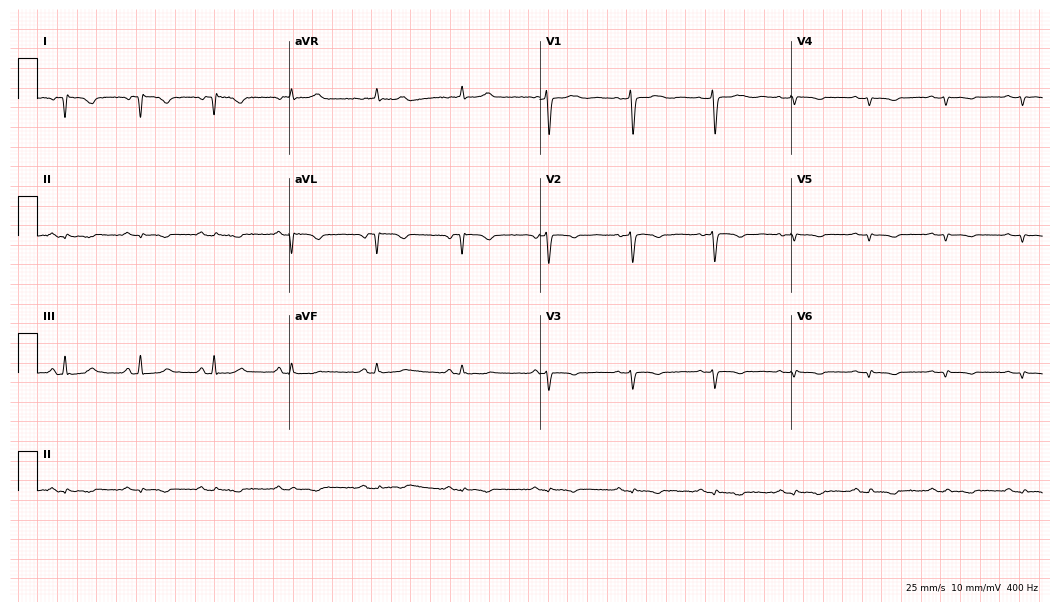
ECG (10.2-second recording at 400 Hz) — a female patient, 39 years old. Screened for six findings — first-degree AV block, right bundle branch block (RBBB), left bundle branch block (LBBB), sinus bradycardia, atrial fibrillation (AF), sinus tachycardia — none is recorded. Findings outside these six are not listed.